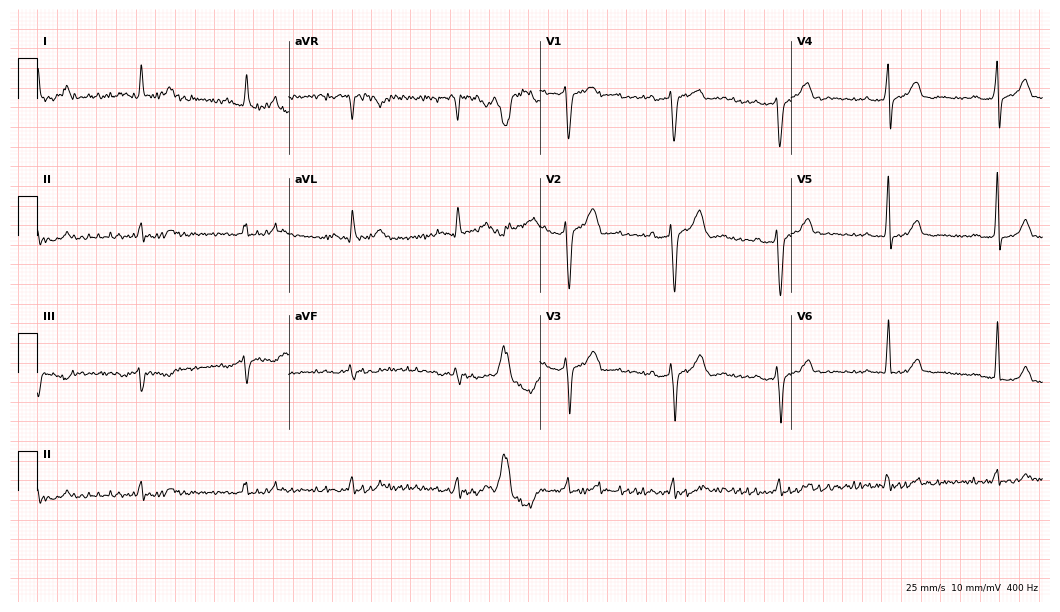
12-lead ECG (10.2-second recording at 400 Hz) from a 64-year-old male. Screened for six findings — first-degree AV block, right bundle branch block, left bundle branch block, sinus bradycardia, atrial fibrillation, sinus tachycardia — none is recorded. Findings outside these six are not listed.